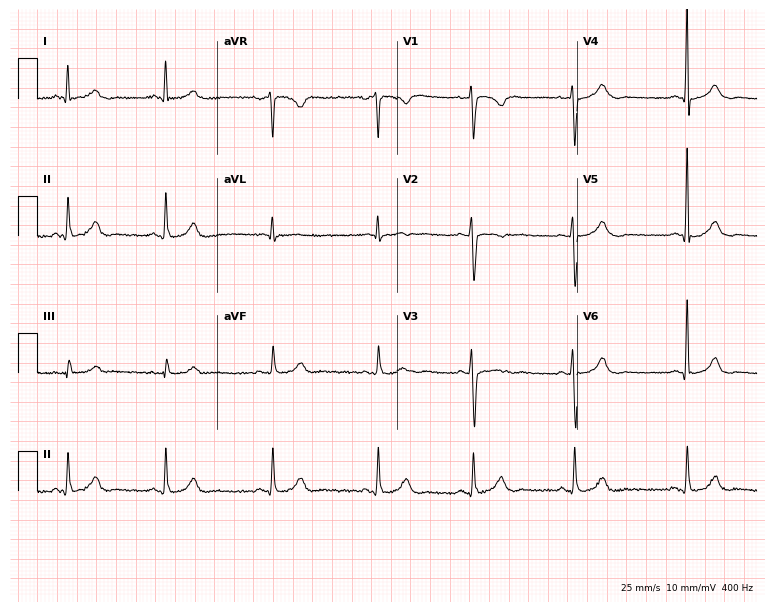
12-lead ECG from a 34-year-old female patient. Labelled as a normal ECG.